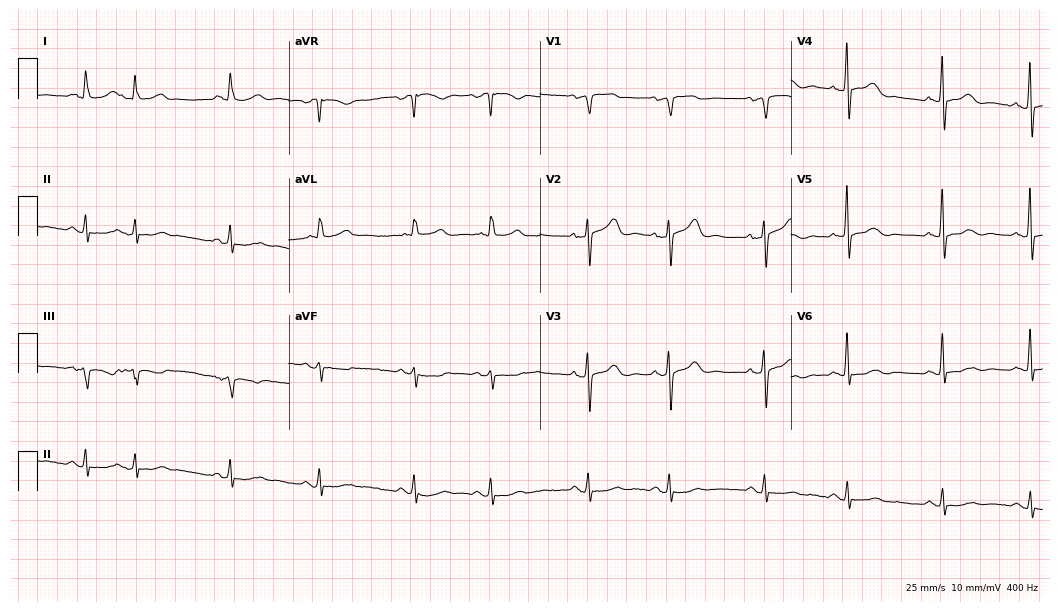
ECG — an 85-year-old man. Screened for six findings — first-degree AV block, right bundle branch block, left bundle branch block, sinus bradycardia, atrial fibrillation, sinus tachycardia — none is recorded.